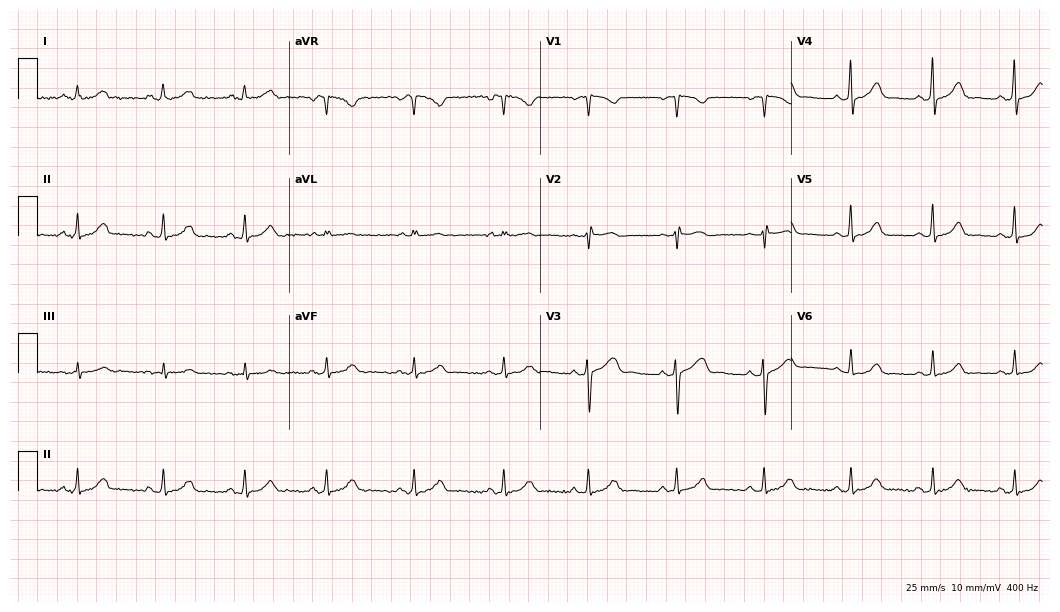
Electrocardiogram (10.2-second recording at 400 Hz), a 42-year-old female patient. Overall reading on record: normal ECG.